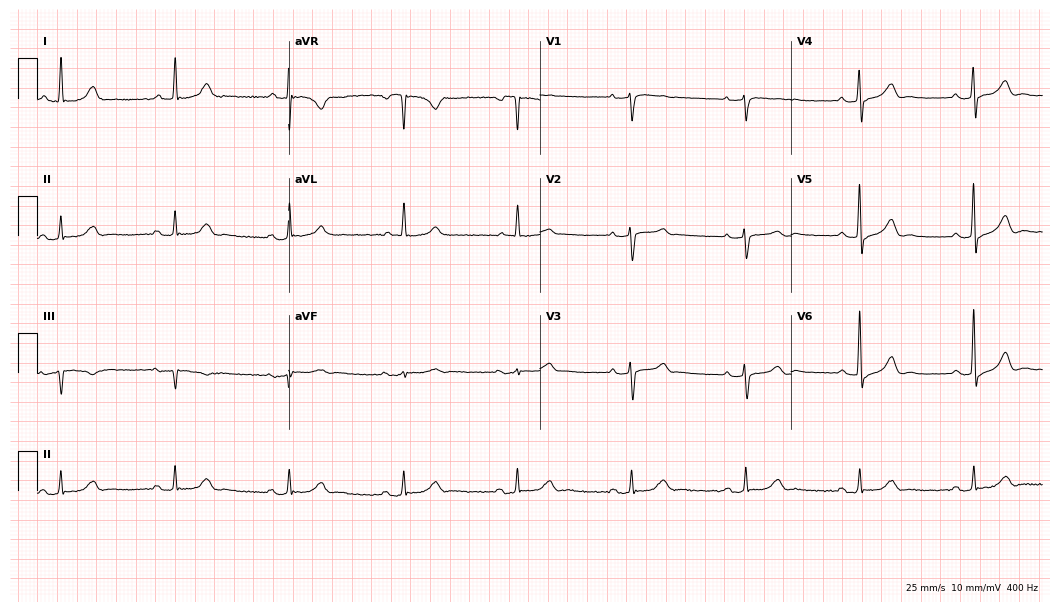
Resting 12-lead electrocardiogram. Patient: a man, 72 years old. The tracing shows first-degree AV block.